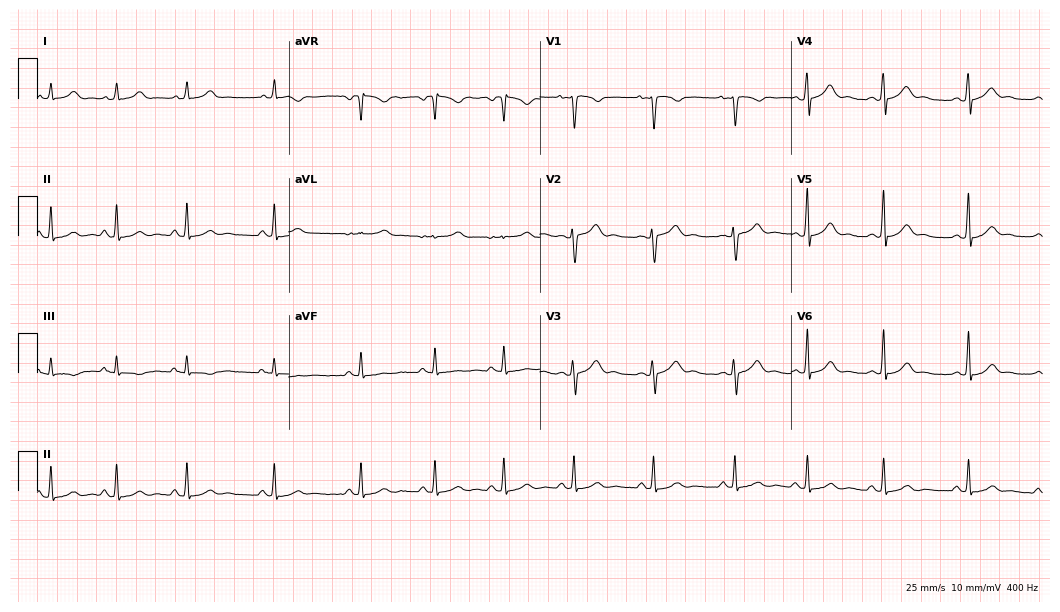
ECG — a 22-year-old woman. Screened for six findings — first-degree AV block, right bundle branch block (RBBB), left bundle branch block (LBBB), sinus bradycardia, atrial fibrillation (AF), sinus tachycardia — none is recorded.